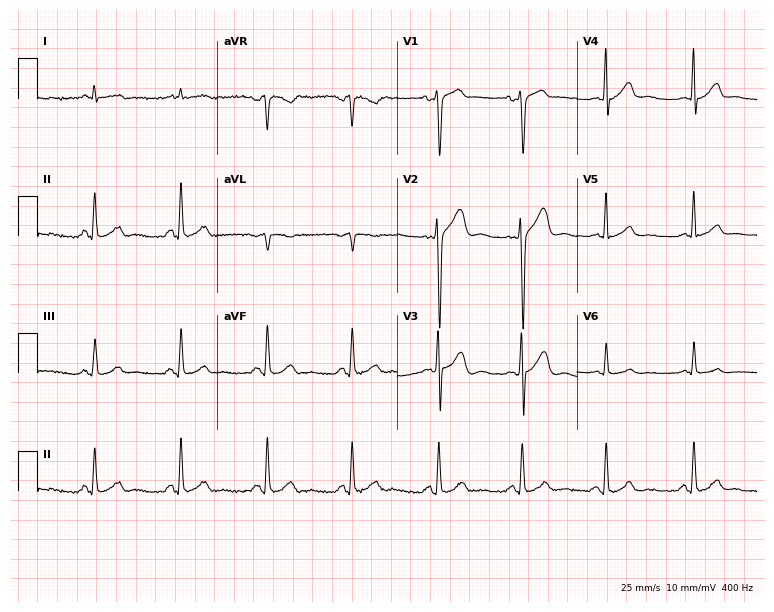
Electrocardiogram, a 39-year-old male. Overall reading on record: normal ECG.